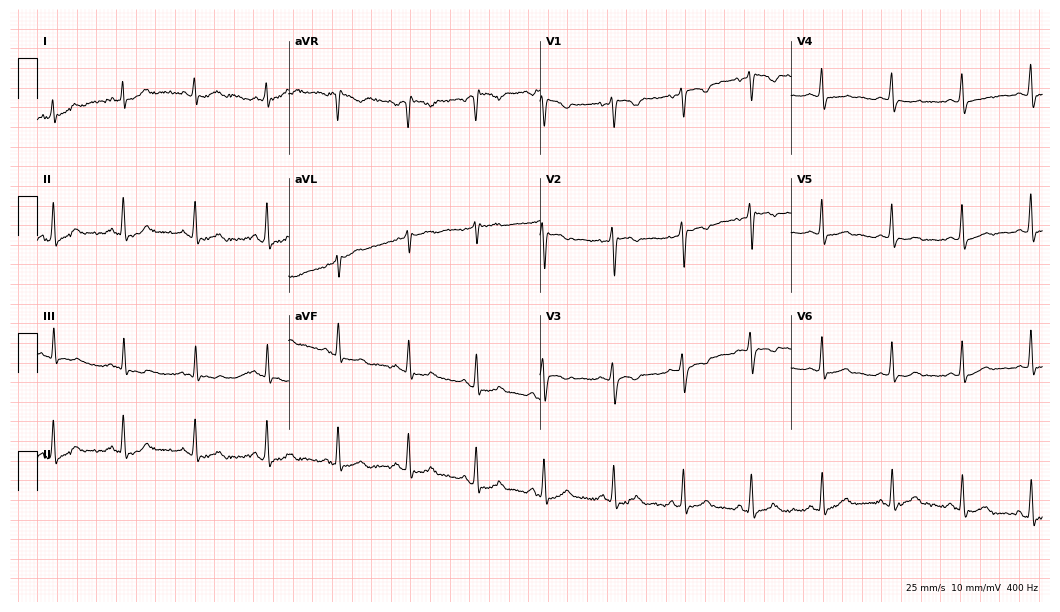
12-lead ECG (10.2-second recording at 400 Hz) from a woman, 41 years old. Screened for six findings — first-degree AV block, right bundle branch block (RBBB), left bundle branch block (LBBB), sinus bradycardia, atrial fibrillation (AF), sinus tachycardia — none is recorded. Only these six findings were labelled.